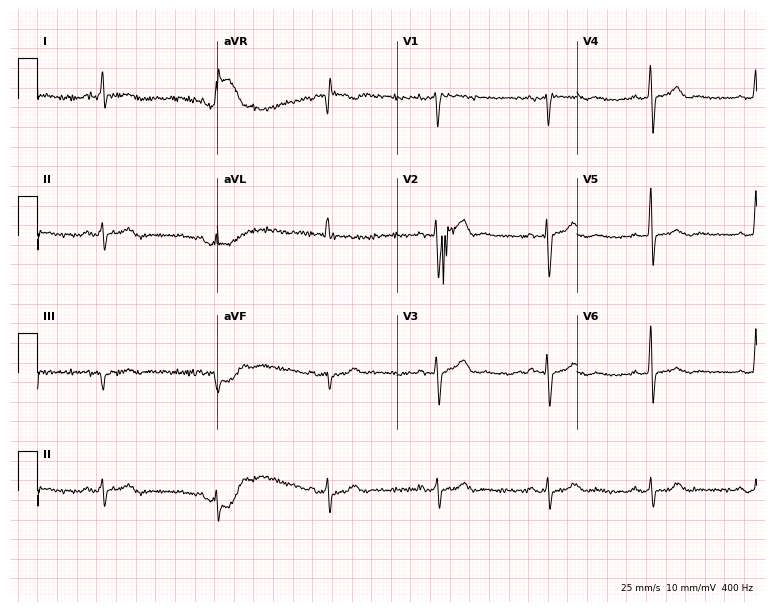
Standard 12-lead ECG recorded from a male patient, 66 years old. None of these six findings is recorded: first-degree AV block, right bundle branch block, left bundle branch block, sinus bradycardia, atrial fibrillation, sinus tachycardia.